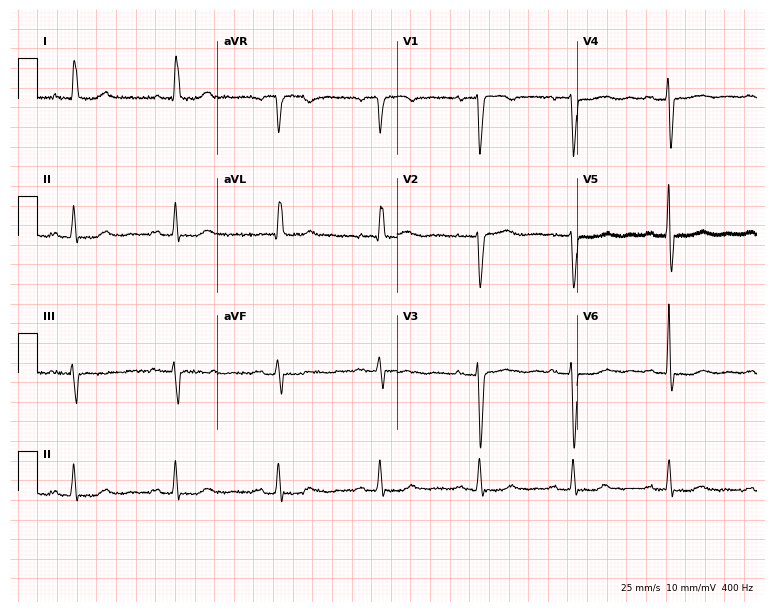
12-lead ECG from a 71-year-old female (7.3-second recording at 400 Hz). Shows first-degree AV block.